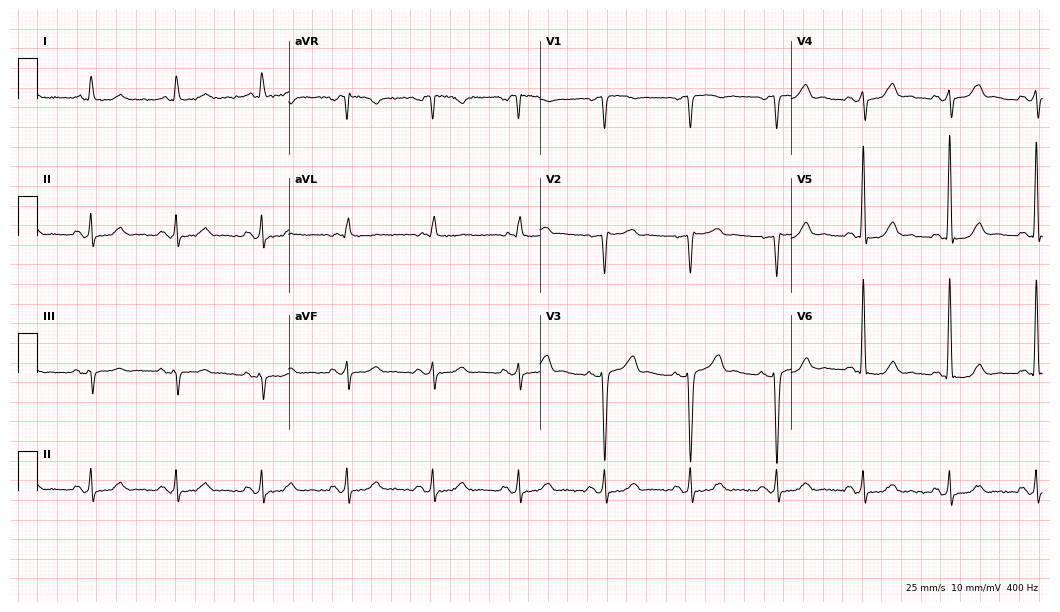
12-lead ECG from a male patient, 80 years old. No first-degree AV block, right bundle branch block, left bundle branch block, sinus bradycardia, atrial fibrillation or sinus tachycardia recorded for this tracing.